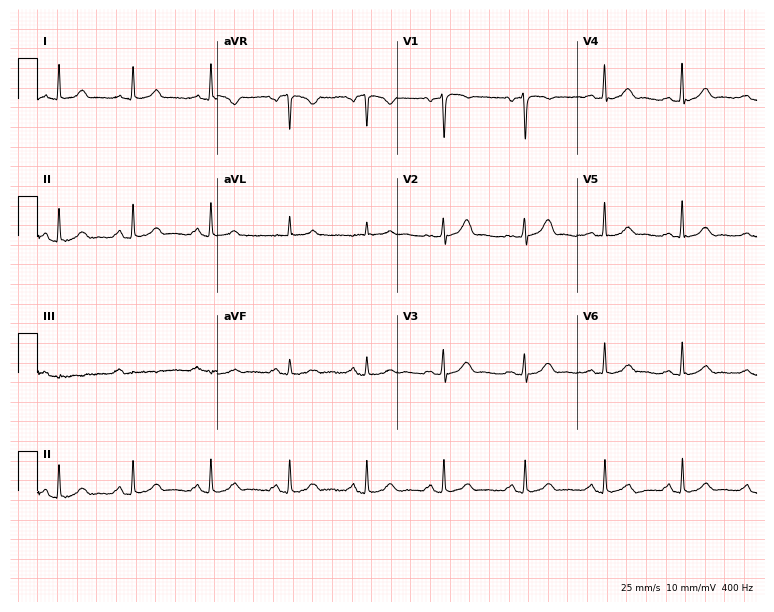
Electrocardiogram (7.3-second recording at 400 Hz), a 43-year-old female. Of the six screened findings (first-degree AV block, right bundle branch block (RBBB), left bundle branch block (LBBB), sinus bradycardia, atrial fibrillation (AF), sinus tachycardia), none is recorded. Other findings, if any, are not listed.